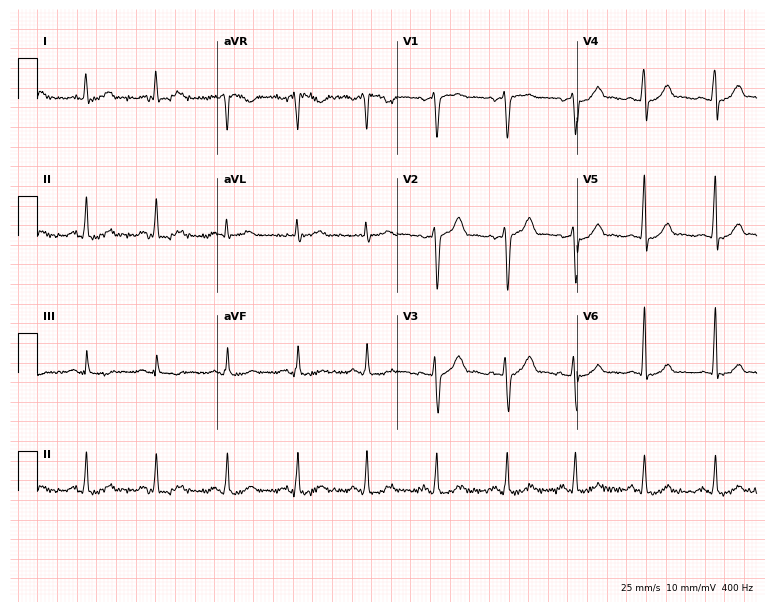
Standard 12-lead ECG recorded from a man, 34 years old (7.3-second recording at 400 Hz). None of these six findings is recorded: first-degree AV block, right bundle branch block, left bundle branch block, sinus bradycardia, atrial fibrillation, sinus tachycardia.